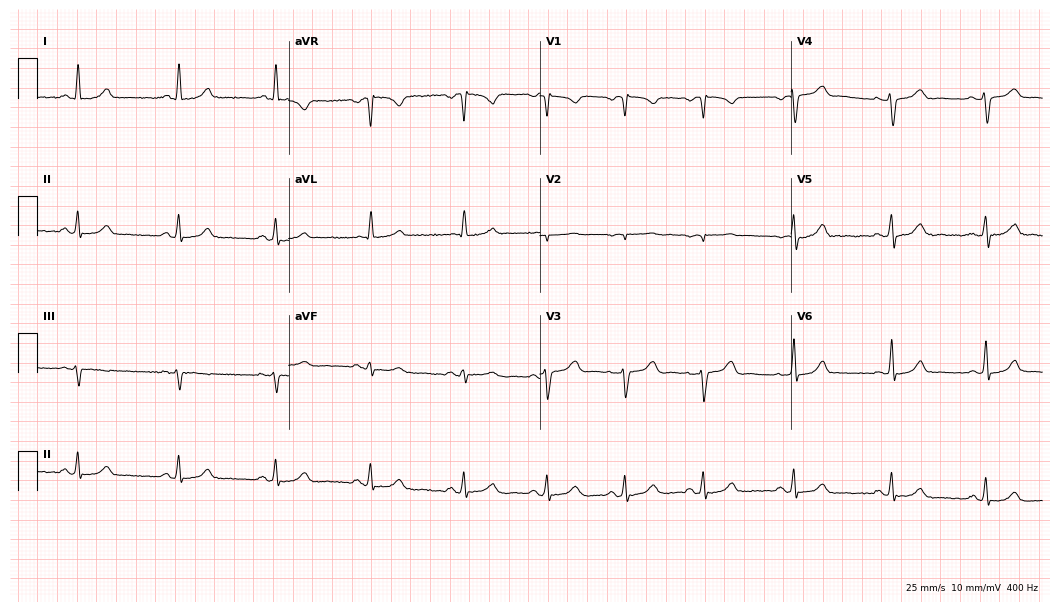
ECG (10.2-second recording at 400 Hz) — a 40-year-old woman. Labelled as a normal ECG.